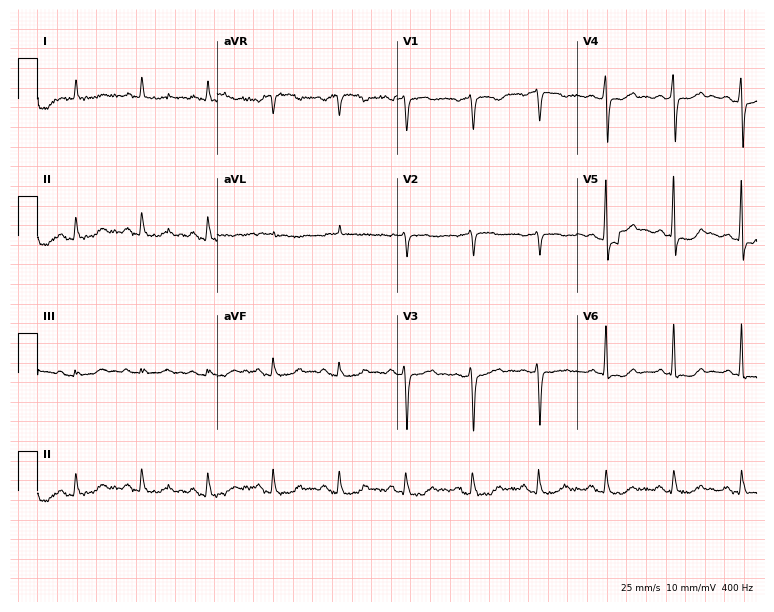
ECG — a female, 61 years old. Screened for six findings — first-degree AV block, right bundle branch block, left bundle branch block, sinus bradycardia, atrial fibrillation, sinus tachycardia — none is recorded. Only these six findings were labelled.